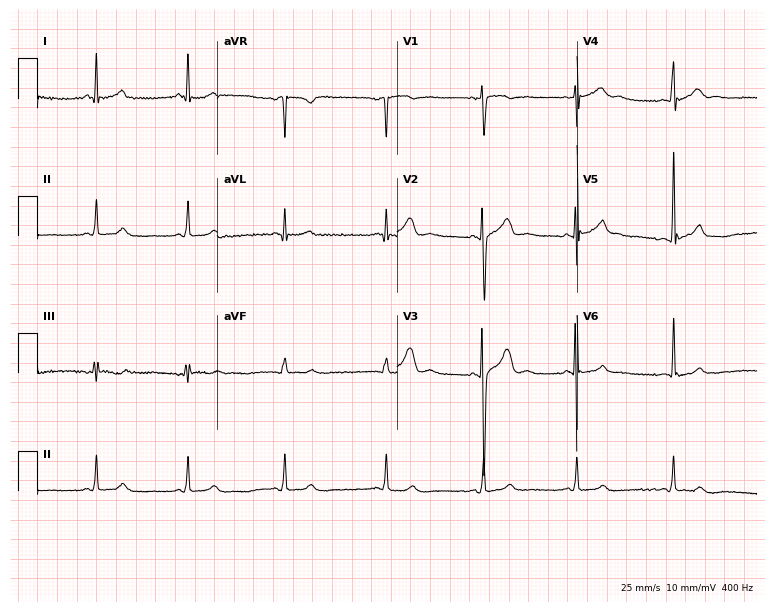
12-lead ECG (7.3-second recording at 400 Hz) from a 17-year-old female patient. Labelled as a normal ECG.